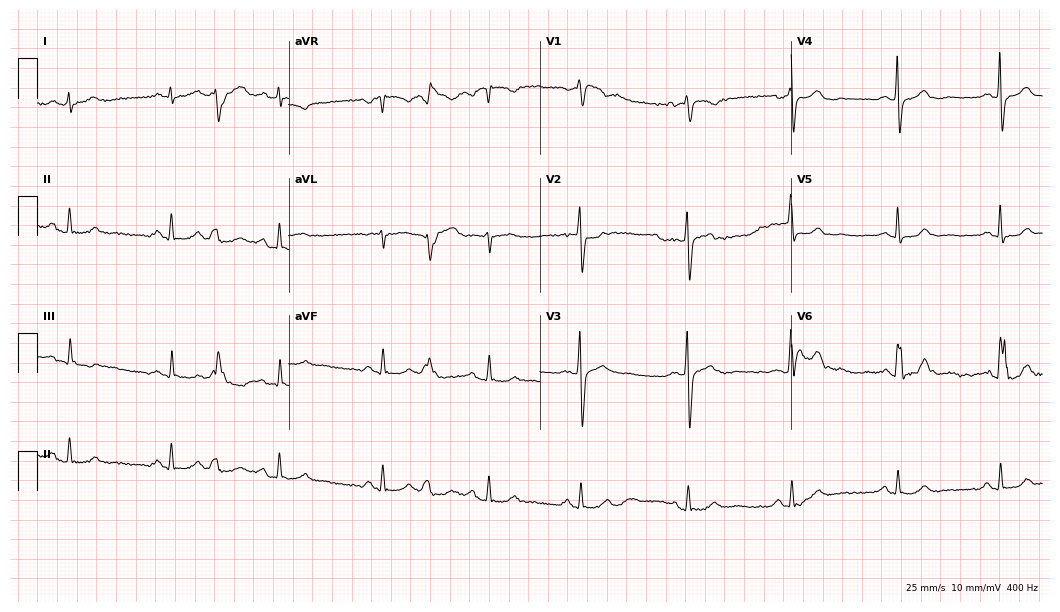
Resting 12-lead electrocardiogram (10.2-second recording at 400 Hz). Patient: a 59-year-old woman. None of these six findings is recorded: first-degree AV block, right bundle branch block, left bundle branch block, sinus bradycardia, atrial fibrillation, sinus tachycardia. Other findings, if any, are not listed.